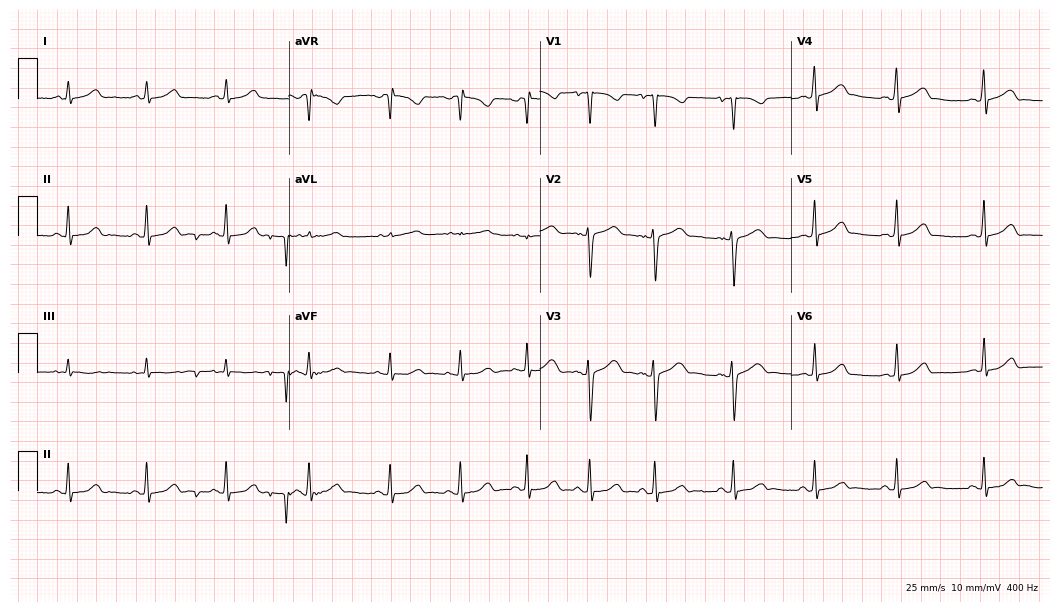
Standard 12-lead ECG recorded from a 25-year-old female patient. Read as a normal ECG.